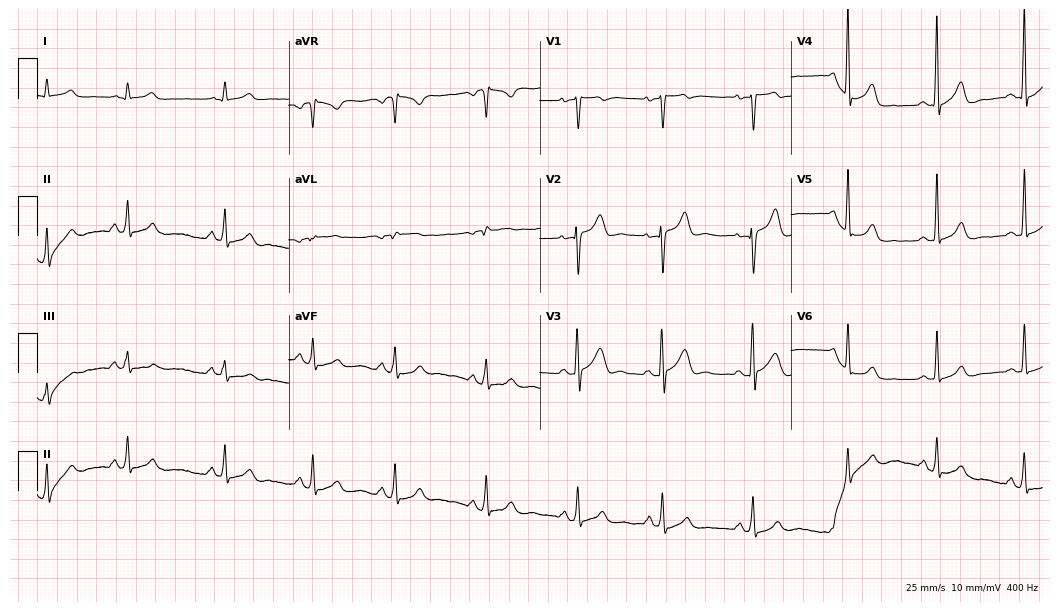
12-lead ECG from a male, 27 years old. Recorded interpretation: within normal limits.